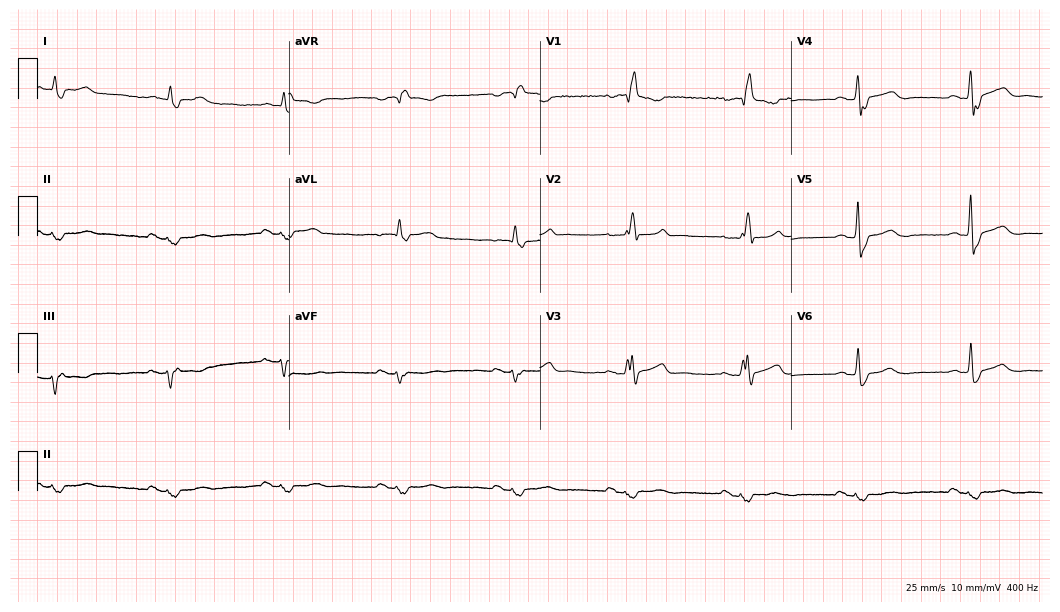
ECG (10.2-second recording at 400 Hz) — a man, 66 years old. Screened for six findings — first-degree AV block, right bundle branch block, left bundle branch block, sinus bradycardia, atrial fibrillation, sinus tachycardia — none is recorded.